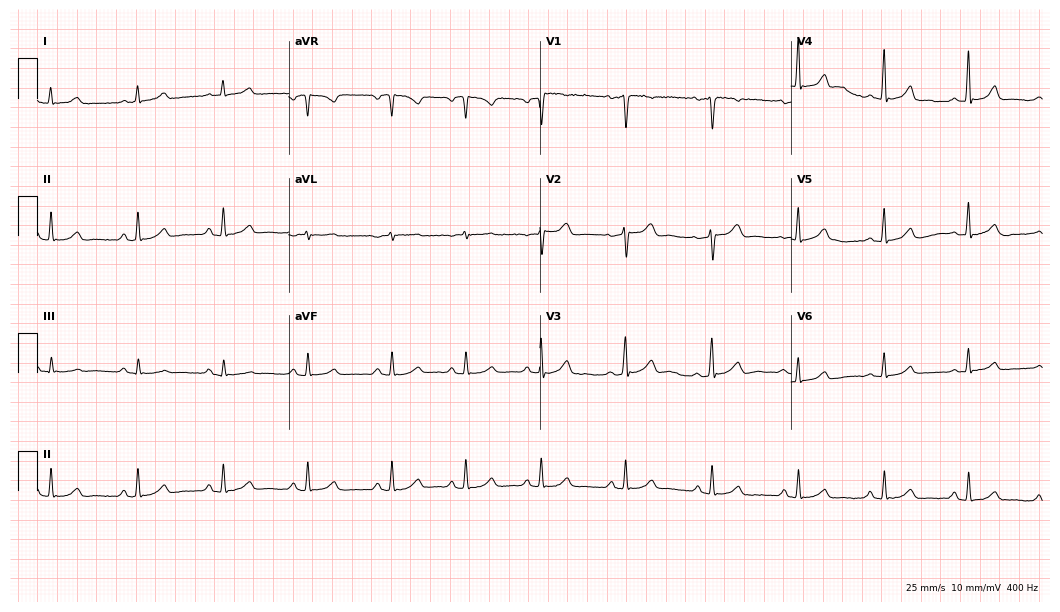
12-lead ECG (10.2-second recording at 400 Hz) from a female patient, 53 years old. Labelled as a normal ECG.